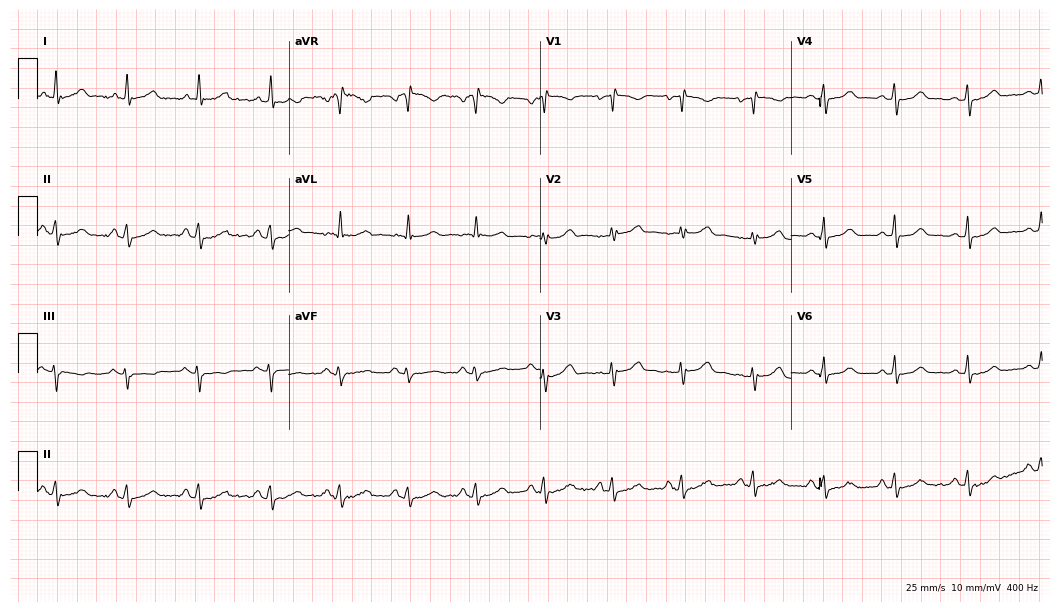
Electrocardiogram (10.2-second recording at 400 Hz), a 43-year-old female patient. Overall reading on record: normal ECG.